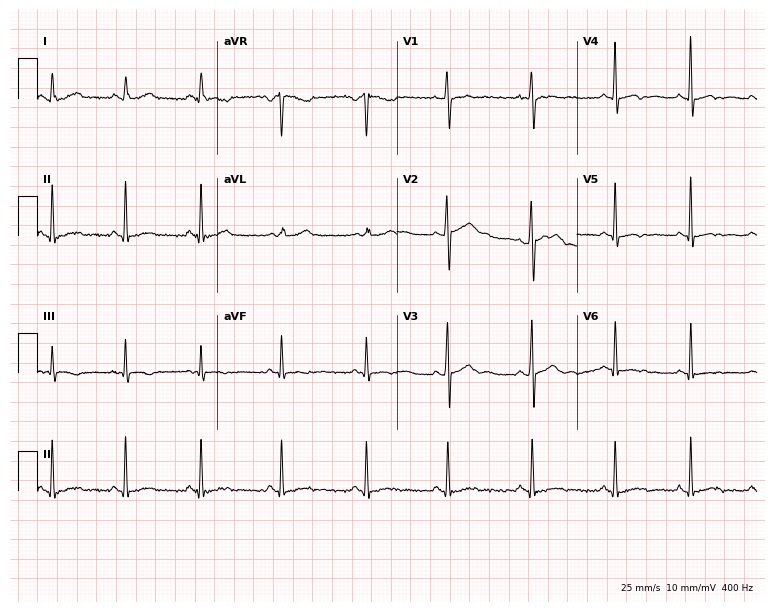
Standard 12-lead ECG recorded from a woman, 34 years old (7.3-second recording at 400 Hz). None of these six findings is recorded: first-degree AV block, right bundle branch block, left bundle branch block, sinus bradycardia, atrial fibrillation, sinus tachycardia.